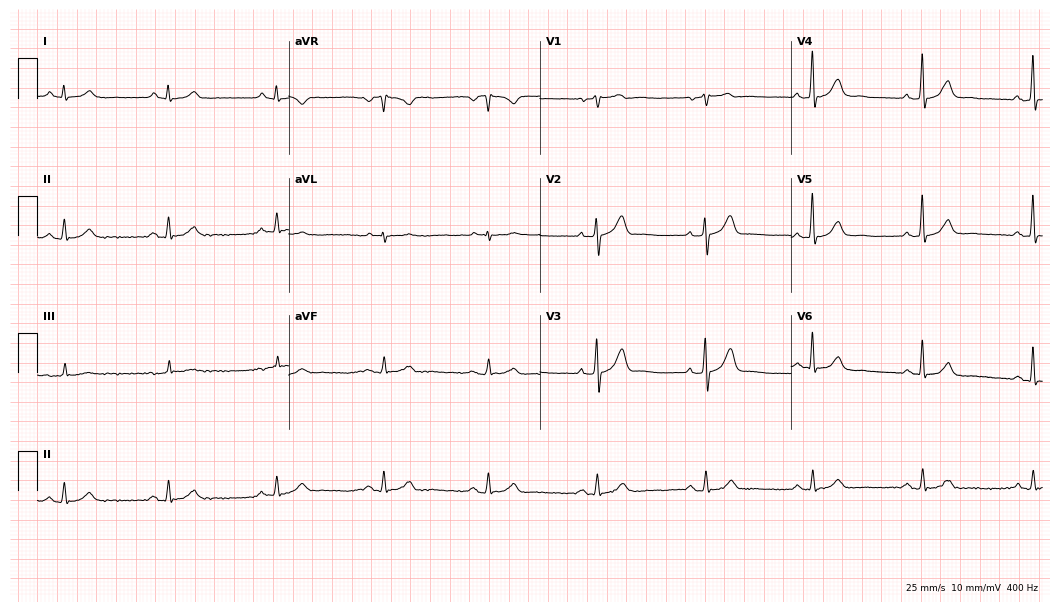
Resting 12-lead electrocardiogram. Patient: a man, 56 years old. None of these six findings is recorded: first-degree AV block, right bundle branch block (RBBB), left bundle branch block (LBBB), sinus bradycardia, atrial fibrillation (AF), sinus tachycardia.